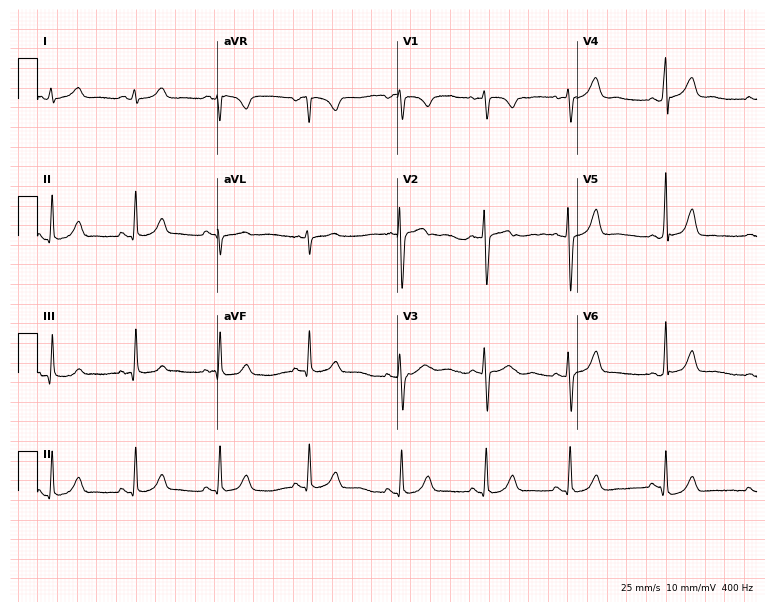
Standard 12-lead ECG recorded from a female patient, 33 years old (7.3-second recording at 400 Hz). None of these six findings is recorded: first-degree AV block, right bundle branch block, left bundle branch block, sinus bradycardia, atrial fibrillation, sinus tachycardia. Only these six findings were labelled.